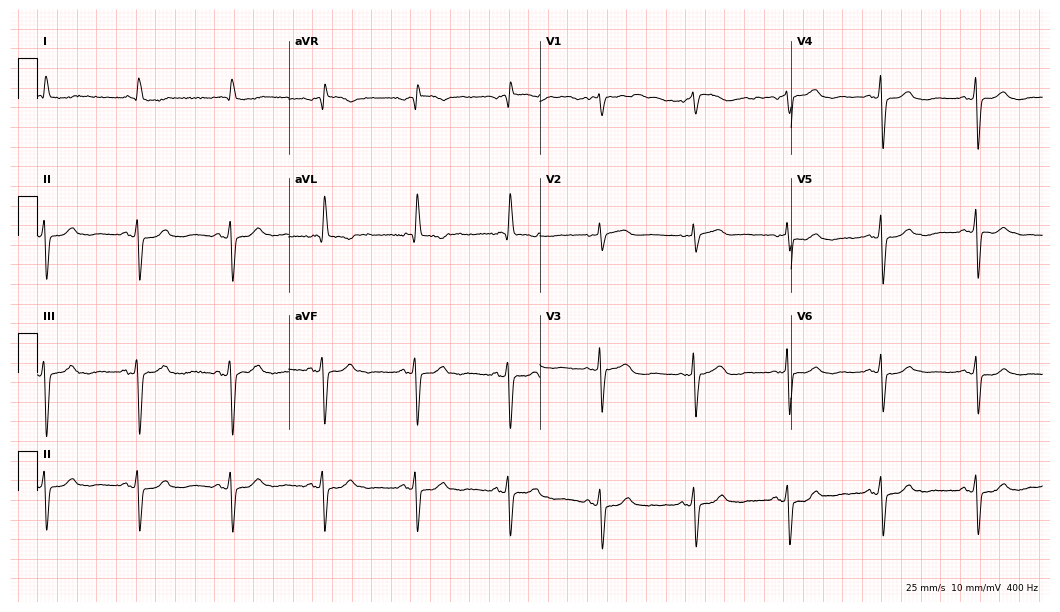
12-lead ECG from a 74-year-old female (10.2-second recording at 400 Hz). No first-degree AV block, right bundle branch block, left bundle branch block, sinus bradycardia, atrial fibrillation or sinus tachycardia recorded for this tracing. Only these six findings were labelled.